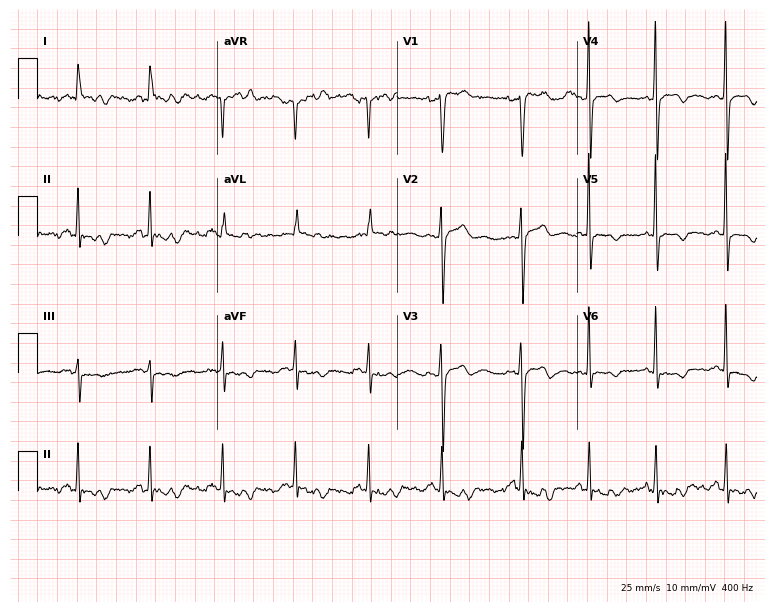
Standard 12-lead ECG recorded from a 79-year-old female (7.3-second recording at 400 Hz). None of these six findings is recorded: first-degree AV block, right bundle branch block, left bundle branch block, sinus bradycardia, atrial fibrillation, sinus tachycardia. Only these six findings were labelled.